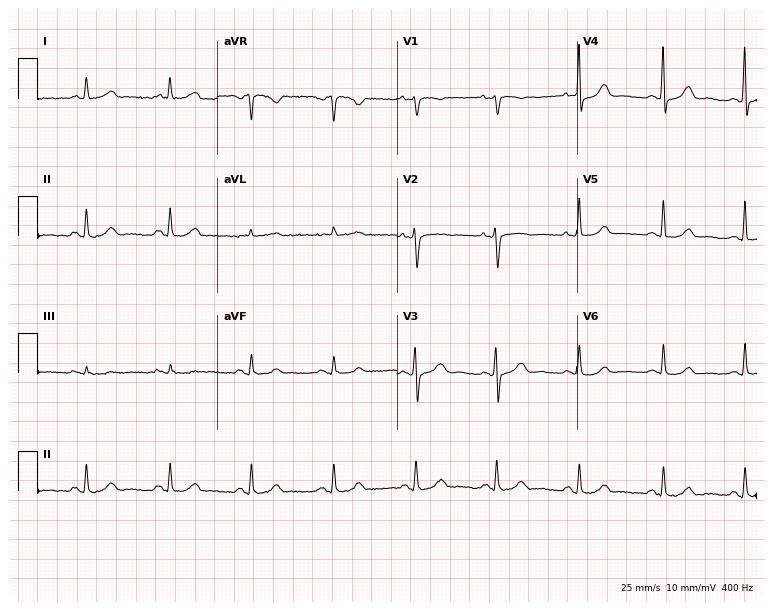
Standard 12-lead ECG recorded from a 68-year-old woman. None of these six findings is recorded: first-degree AV block, right bundle branch block, left bundle branch block, sinus bradycardia, atrial fibrillation, sinus tachycardia.